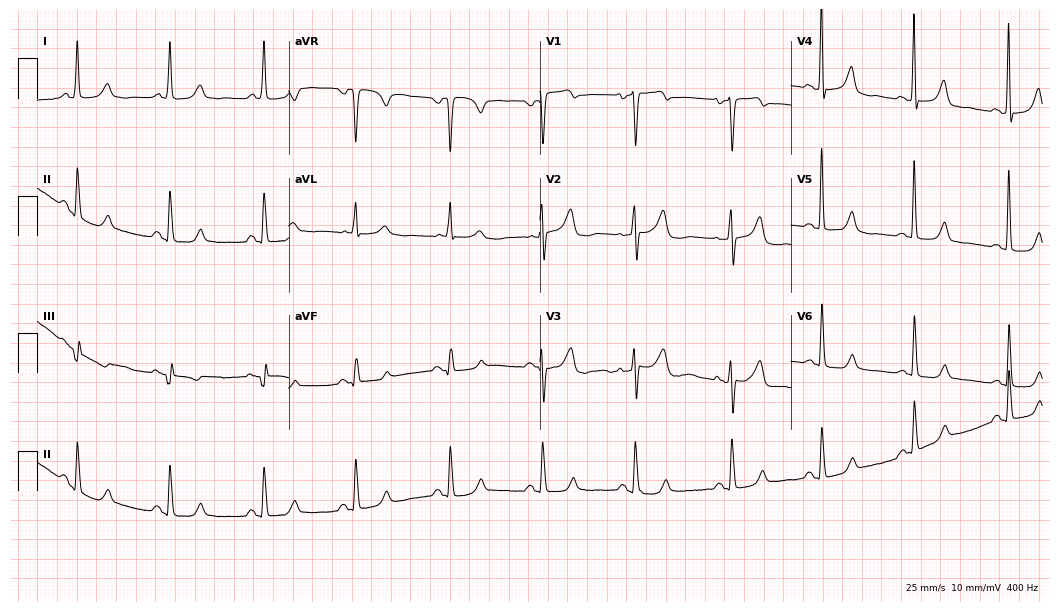
Resting 12-lead electrocardiogram. Patient: a female, 63 years old. Read as a normal ECG.